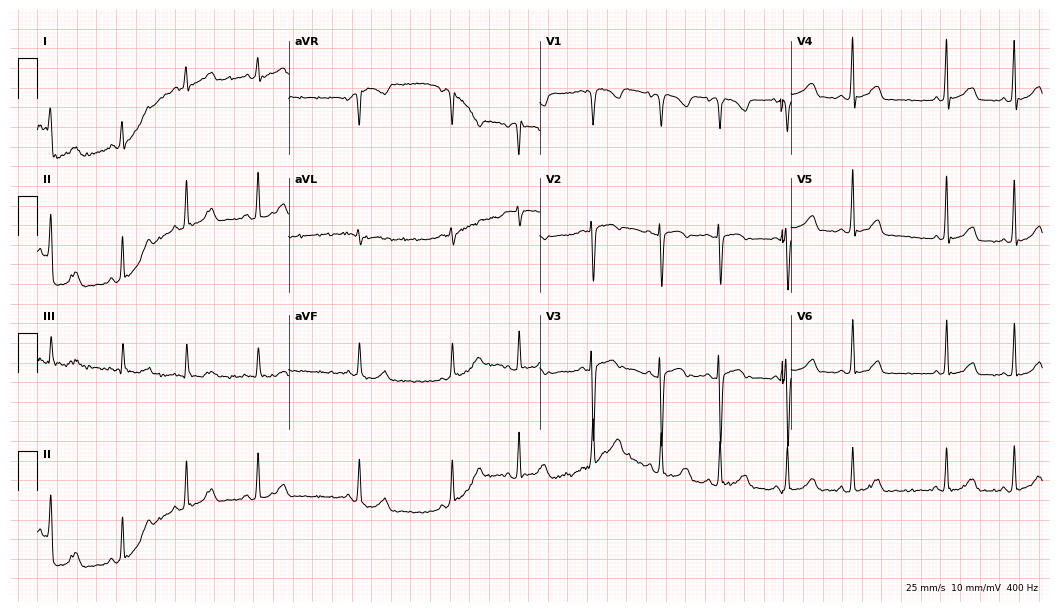
Standard 12-lead ECG recorded from a man, 80 years old. Read as a normal ECG.